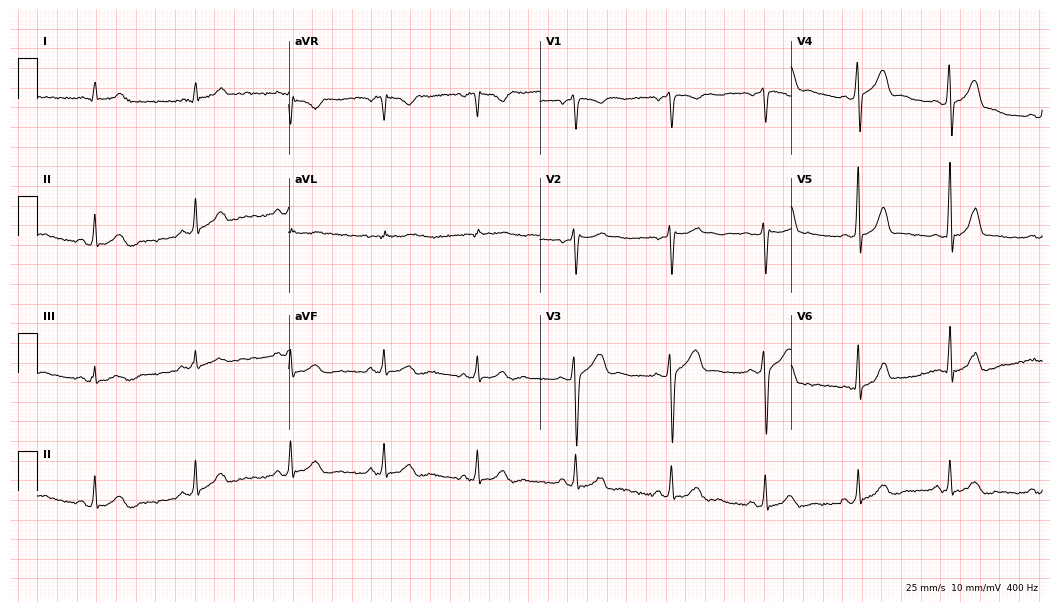
Resting 12-lead electrocardiogram (10.2-second recording at 400 Hz). Patient: a 39-year-old male. None of these six findings is recorded: first-degree AV block, right bundle branch block, left bundle branch block, sinus bradycardia, atrial fibrillation, sinus tachycardia.